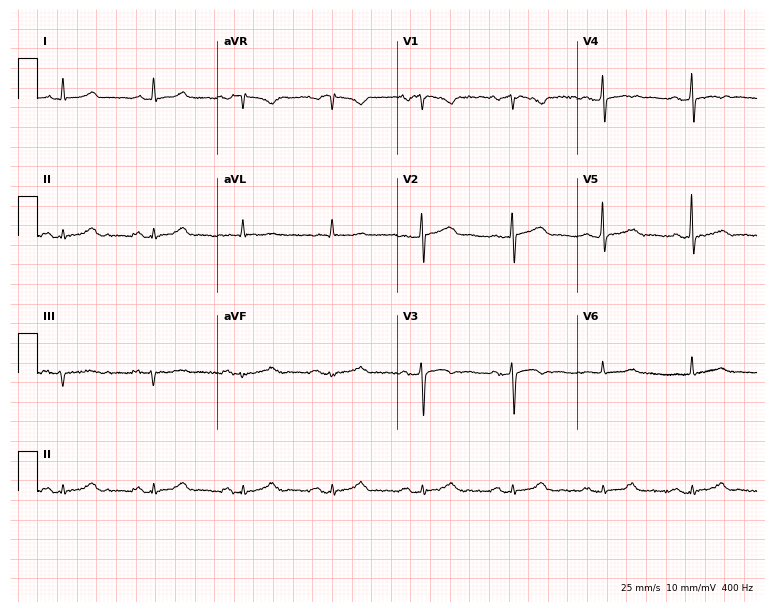
Electrocardiogram (7.3-second recording at 400 Hz), a female, 62 years old. Of the six screened findings (first-degree AV block, right bundle branch block, left bundle branch block, sinus bradycardia, atrial fibrillation, sinus tachycardia), none is recorded.